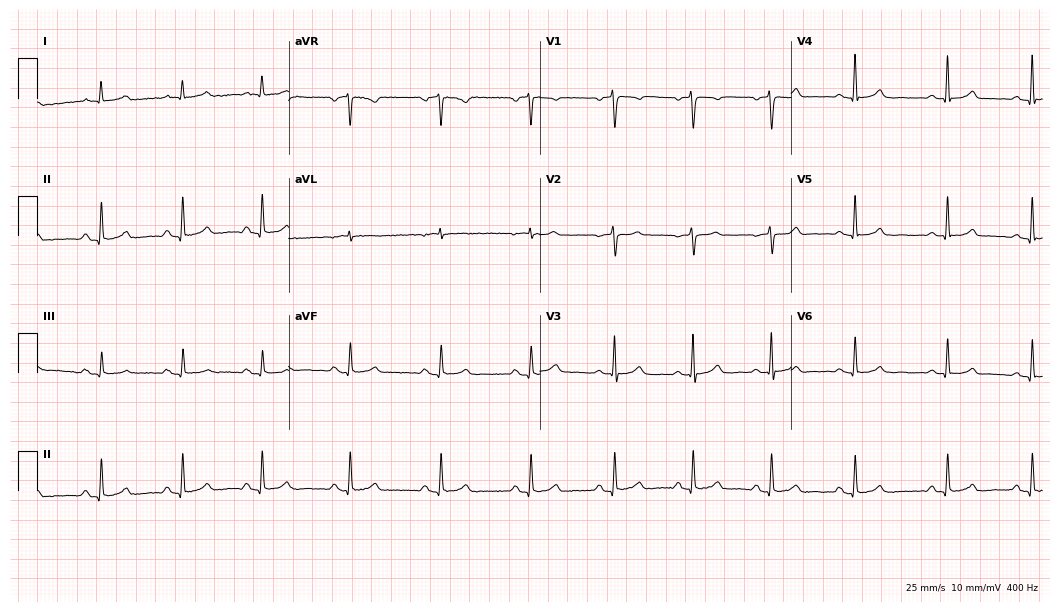
12-lead ECG from a female, 46 years old (10.2-second recording at 400 Hz). Recorded interpretation: within normal limits.